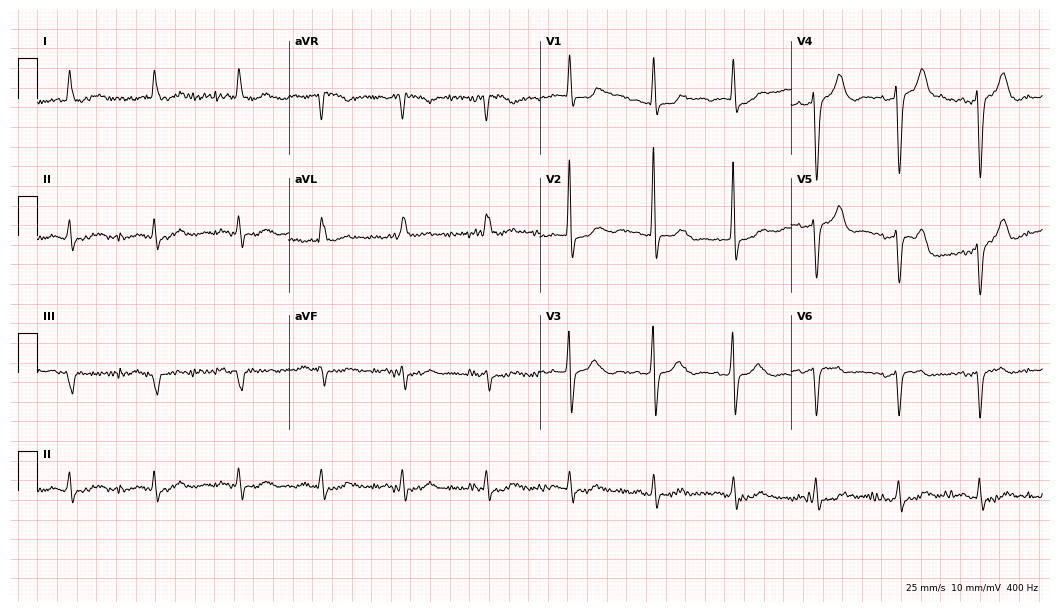
12-lead ECG from a man, 81 years old. Screened for six findings — first-degree AV block, right bundle branch block (RBBB), left bundle branch block (LBBB), sinus bradycardia, atrial fibrillation (AF), sinus tachycardia — none is recorded. Other findings, if any, are not listed.